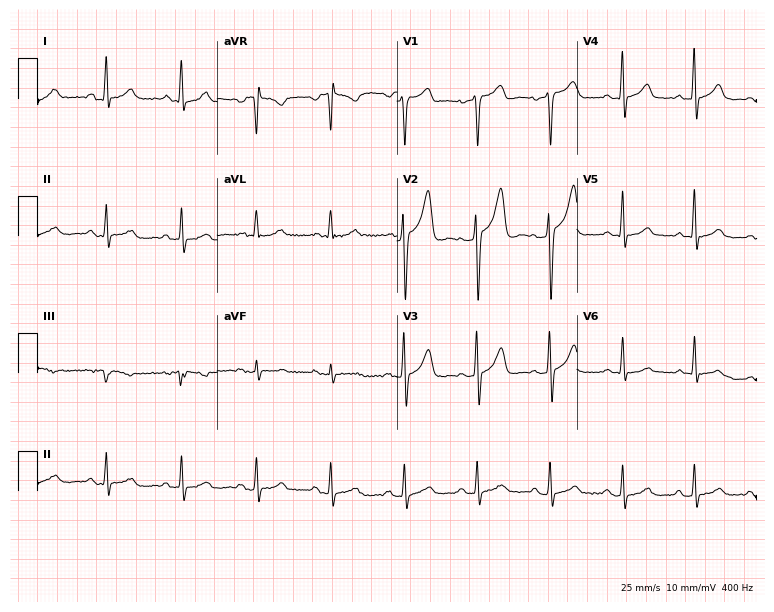
Resting 12-lead electrocardiogram (7.3-second recording at 400 Hz). Patient: a male, 36 years old. None of these six findings is recorded: first-degree AV block, right bundle branch block (RBBB), left bundle branch block (LBBB), sinus bradycardia, atrial fibrillation (AF), sinus tachycardia.